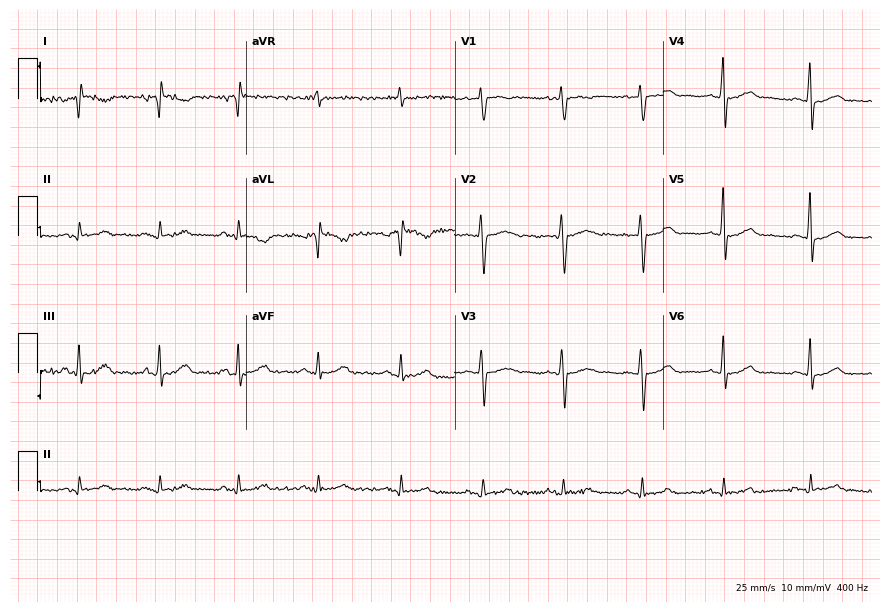
ECG (8.5-second recording at 400 Hz) — a female, 44 years old. Screened for six findings — first-degree AV block, right bundle branch block (RBBB), left bundle branch block (LBBB), sinus bradycardia, atrial fibrillation (AF), sinus tachycardia — none is recorded.